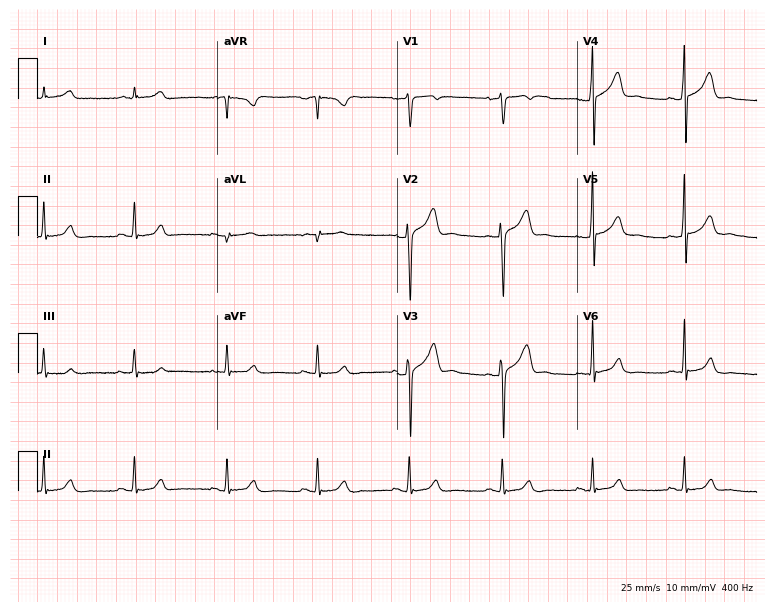
12-lead ECG from a man, 37 years old (7.3-second recording at 400 Hz). Recorded interpretation: within normal limits.